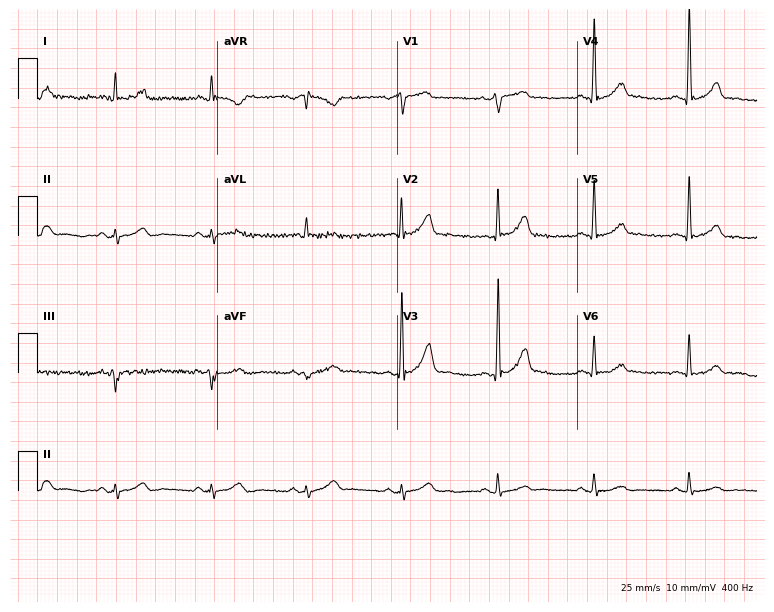
ECG — a man, 66 years old. Labelled as a normal ECG.